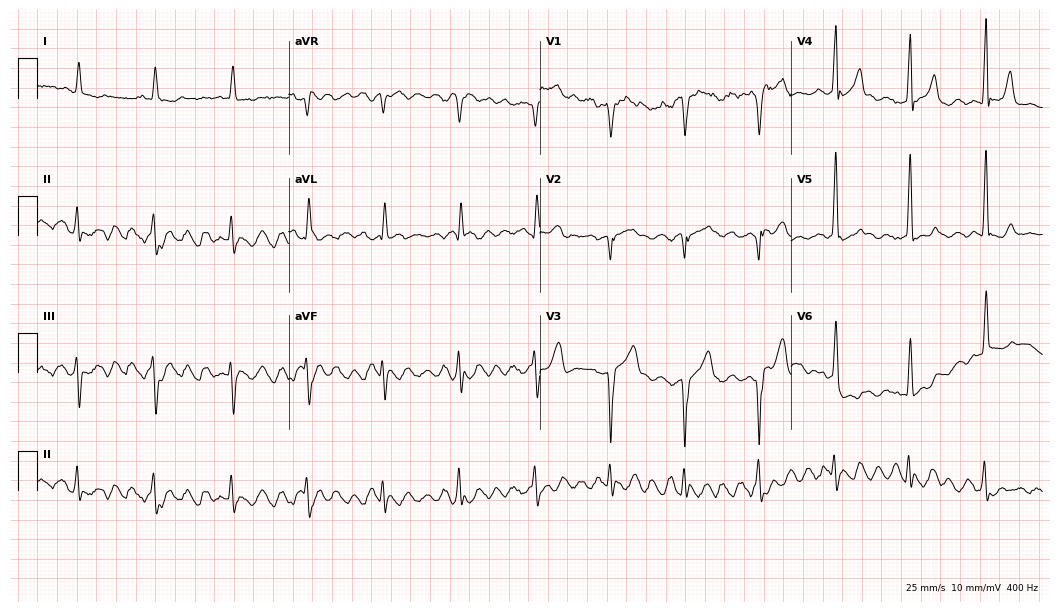
Standard 12-lead ECG recorded from a 67-year-old male patient (10.2-second recording at 400 Hz). None of these six findings is recorded: first-degree AV block, right bundle branch block, left bundle branch block, sinus bradycardia, atrial fibrillation, sinus tachycardia.